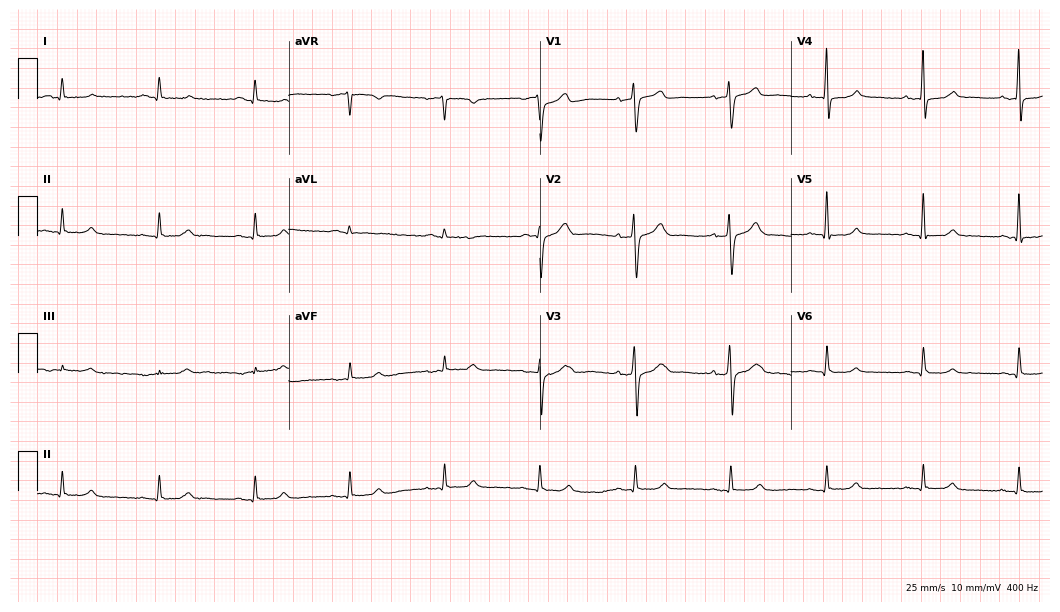
Electrocardiogram, a man, 55 years old. Of the six screened findings (first-degree AV block, right bundle branch block, left bundle branch block, sinus bradycardia, atrial fibrillation, sinus tachycardia), none is recorded. Other findings, if any, are not listed.